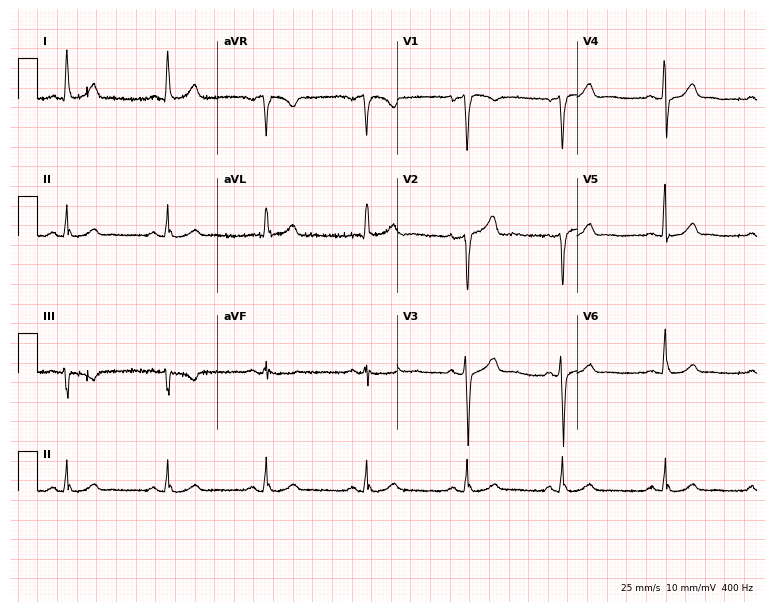
Electrocardiogram (7.3-second recording at 400 Hz), a 59-year-old male patient. Of the six screened findings (first-degree AV block, right bundle branch block (RBBB), left bundle branch block (LBBB), sinus bradycardia, atrial fibrillation (AF), sinus tachycardia), none is recorded.